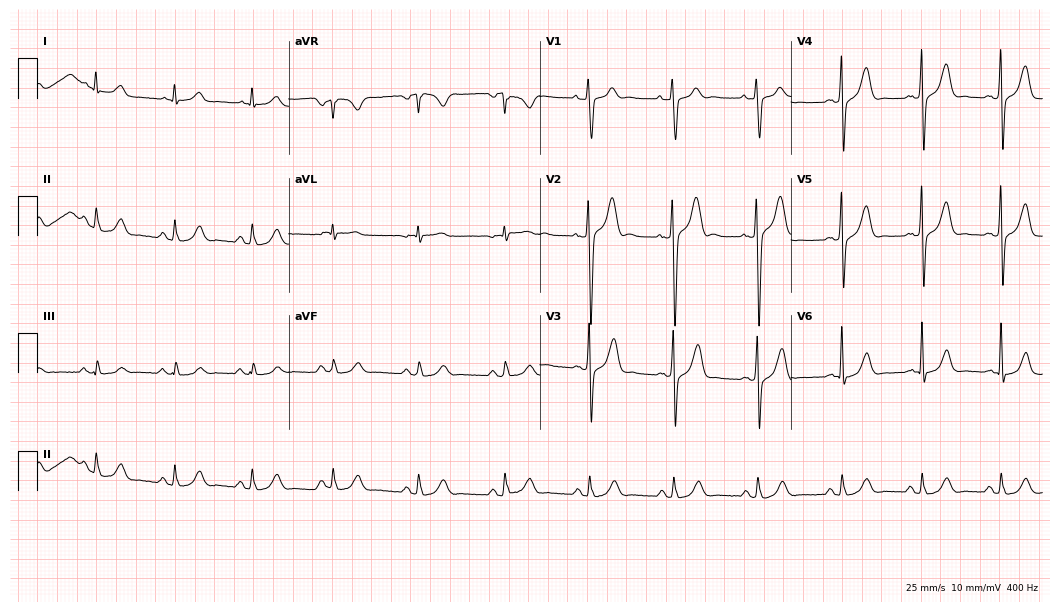
ECG — a male, 43 years old. Labelled as a normal ECG.